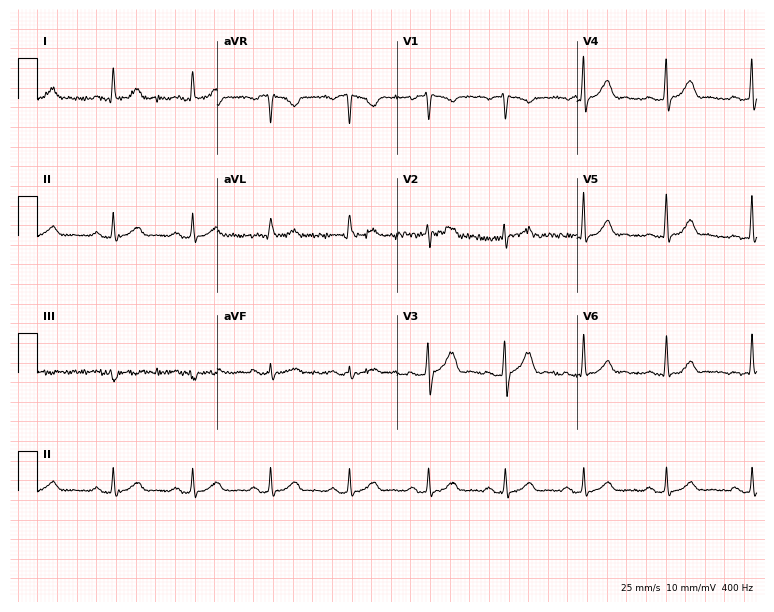
Resting 12-lead electrocardiogram (7.3-second recording at 400 Hz). Patient: a man, 33 years old. Read as a normal ECG.